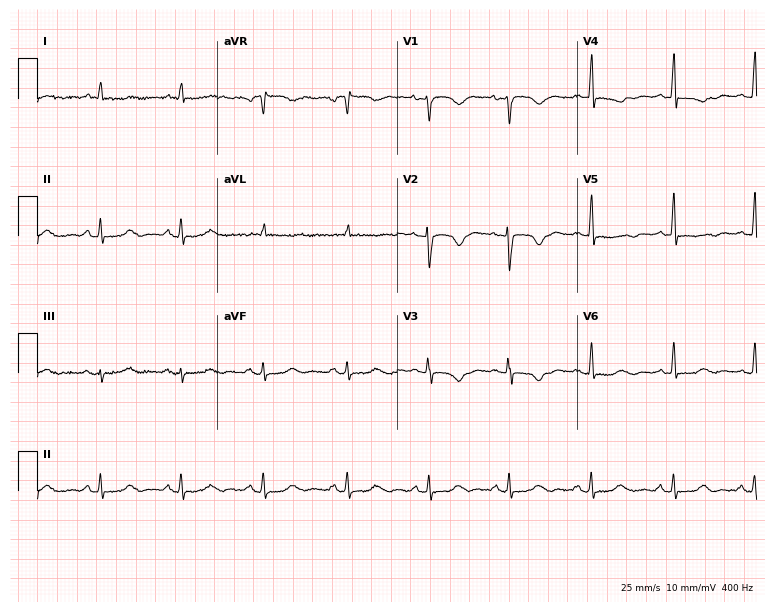
12-lead ECG from a 59-year-old female (7.3-second recording at 400 Hz). No first-degree AV block, right bundle branch block (RBBB), left bundle branch block (LBBB), sinus bradycardia, atrial fibrillation (AF) or sinus tachycardia recorded for this tracing.